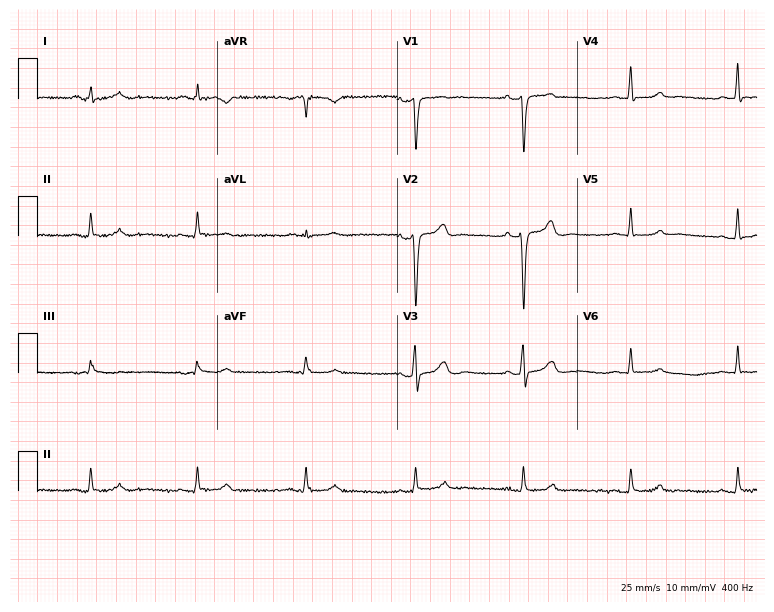
Electrocardiogram (7.3-second recording at 400 Hz), a male patient, 46 years old. Overall reading on record: normal ECG.